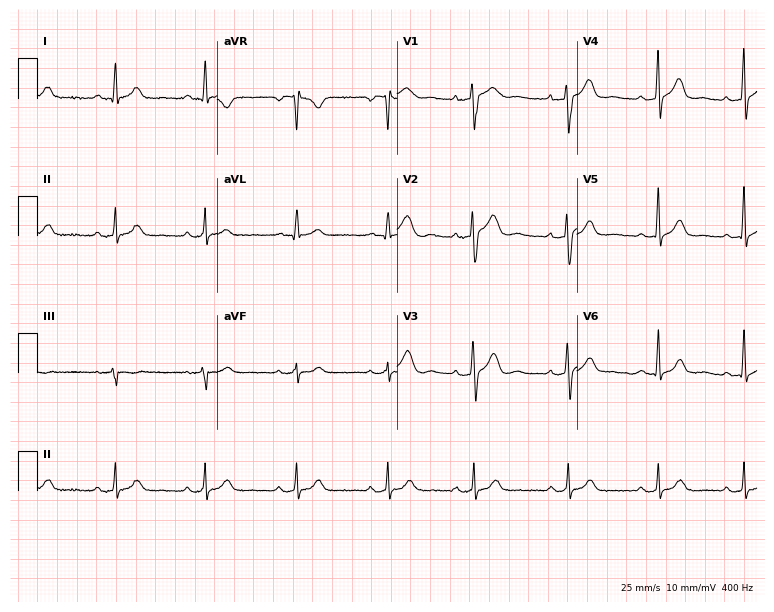
Standard 12-lead ECG recorded from a 40-year-old male (7.3-second recording at 400 Hz). Read as a normal ECG.